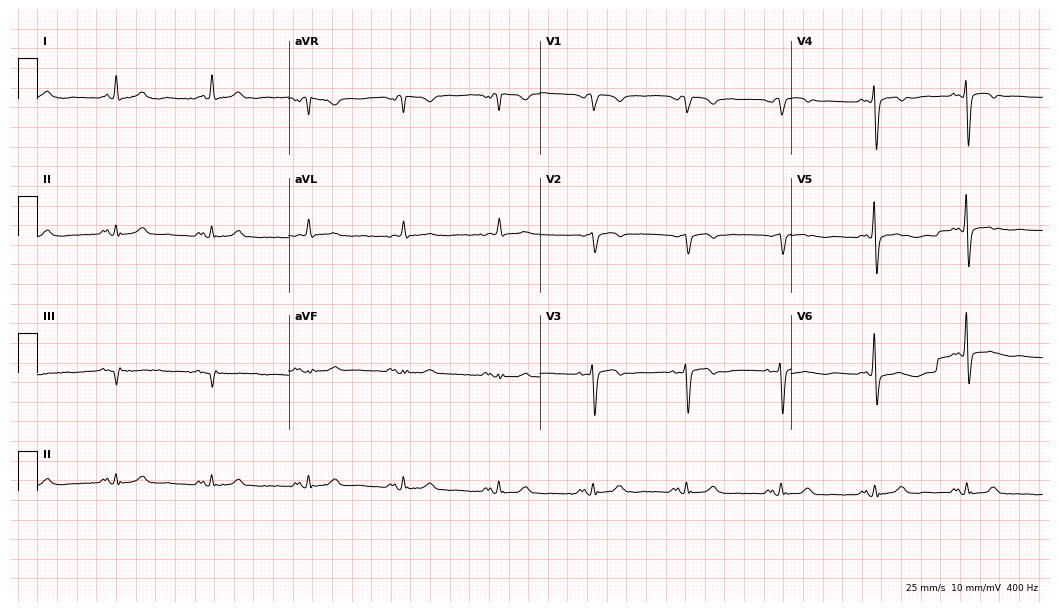
12-lead ECG from a man, 68 years old. Screened for six findings — first-degree AV block, right bundle branch block, left bundle branch block, sinus bradycardia, atrial fibrillation, sinus tachycardia — none is recorded.